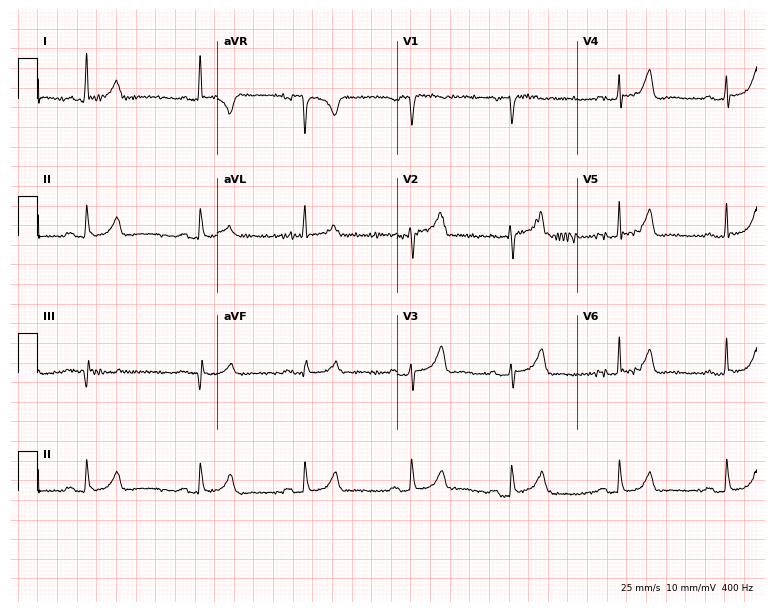
Electrocardiogram (7.3-second recording at 400 Hz), a woman, 69 years old. Of the six screened findings (first-degree AV block, right bundle branch block, left bundle branch block, sinus bradycardia, atrial fibrillation, sinus tachycardia), none is recorded.